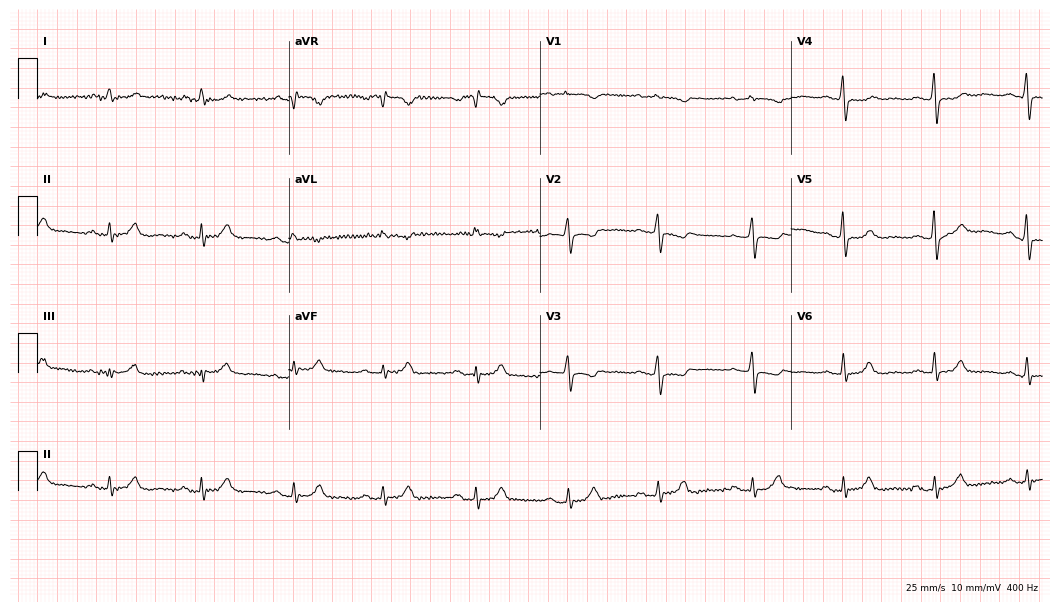
Electrocardiogram (10.2-second recording at 400 Hz), a 59-year-old woman. Of the six screened findings (first-degree AV block, right bundle branch block, left bundle branch block, sinus bradycardia, atrial fibrillation, sinus tachycardia), none is recorded. Only these six findings were labelled.